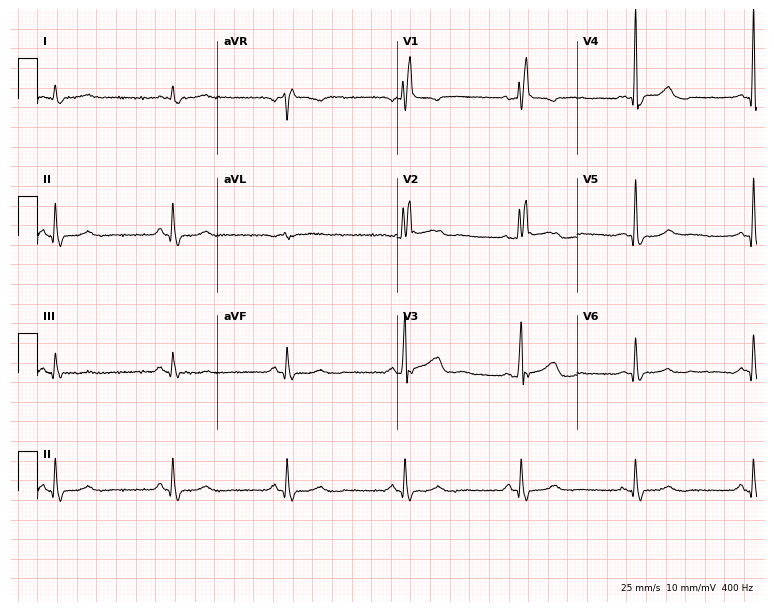
12-lead ECG from a 60-year-old man. No first-degree AV block, right bundle branch block, left bundle branch block, sinus bradycardia, atrial fibrillation or sinus tachycardia recorded for this tracing.